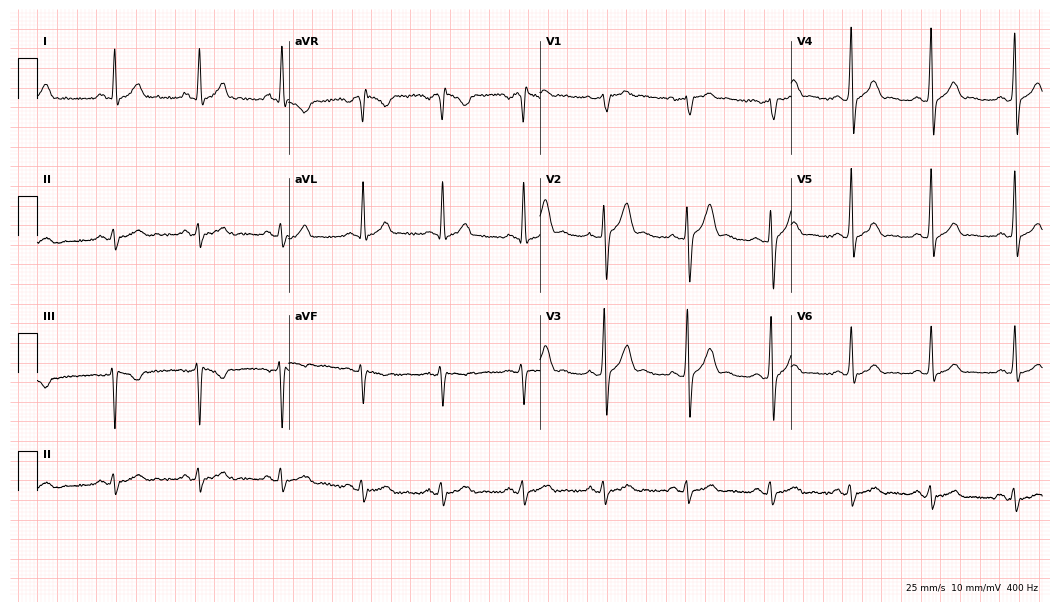
ECG (10.2-second recording at 400 Hz) — a 33-year-old male patient. Labelled as a normal ECG.